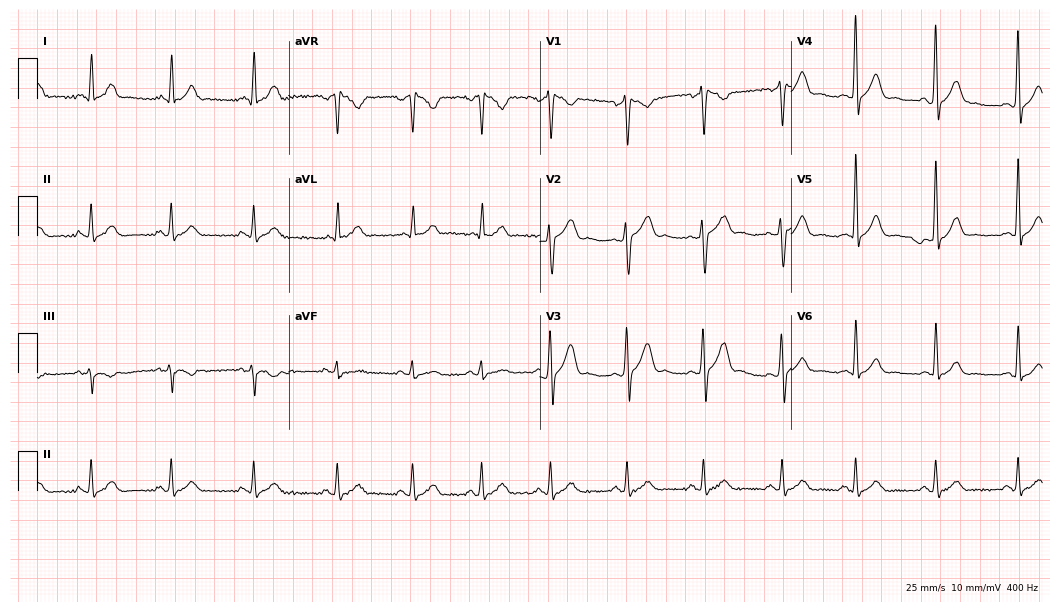
12-lead ECG from a woman, 40 years old. Labelled as a normal ECG.